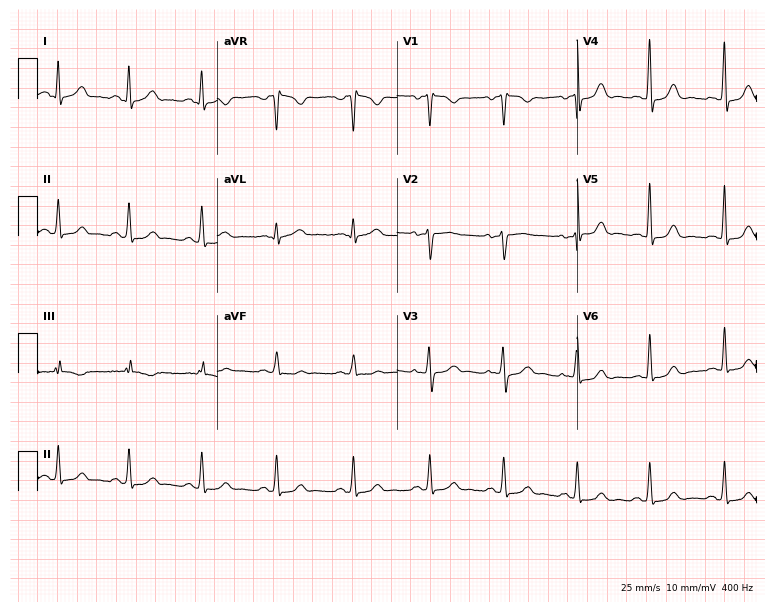
Standard 12-lead ECG recorded from a female patient, 41 years old (7.3-second recording at 400 Hz). None of these six findings is recorded: first-degree AV block, right bundle branch block (RBBB), left bundle branch block (LBBB), sinus bradycardia, atrial fibrillation (AF), sinus tachycardia. Other findings, if any, are not listed.